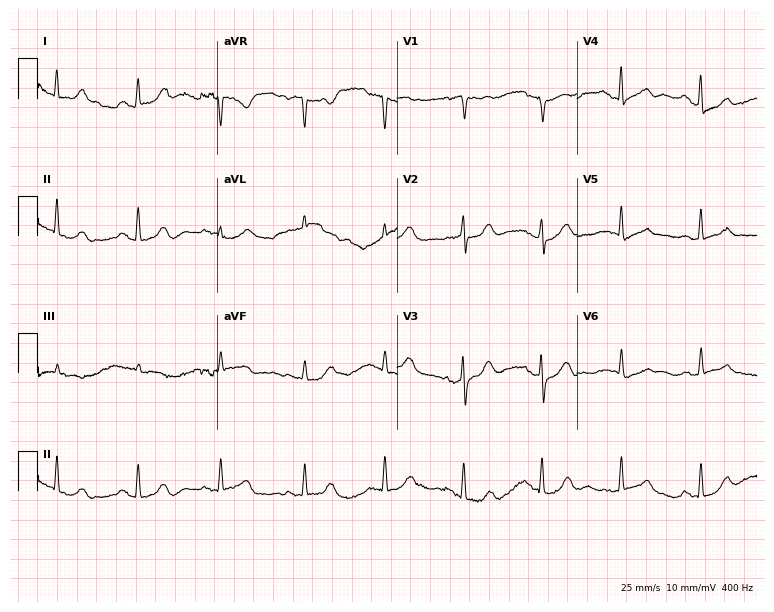
Electrocardiogram (7.3-second recording at 400 Hz), a woman, 63 years old. Overall reading on record: normal ECG.